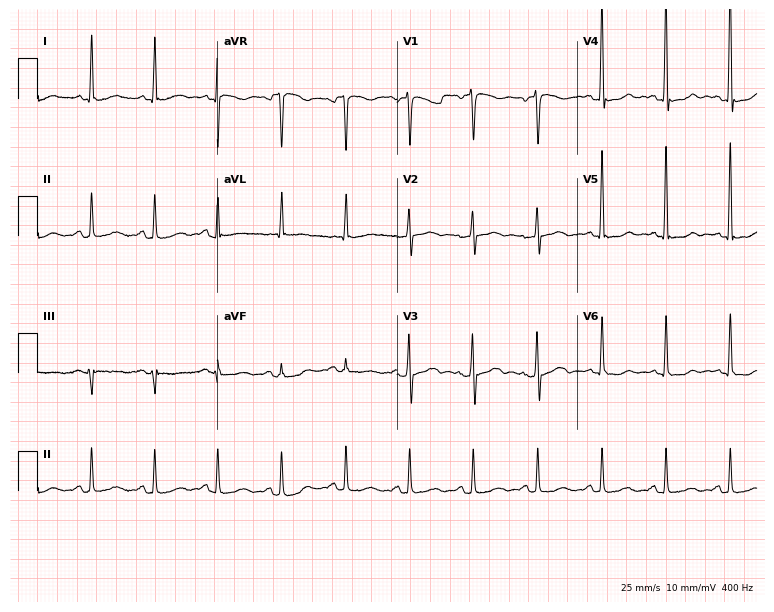
Standard 12-lead ECG recorded from a 67-year-old man (7.3-second recording at 400 Hz). None of these six findings is recorded: first-degree AV block, right bundle branch block, left bundle branch block, sinus bradycardia, atrial fibrillation, sinus tachycardia. Only these six findings were labelled.